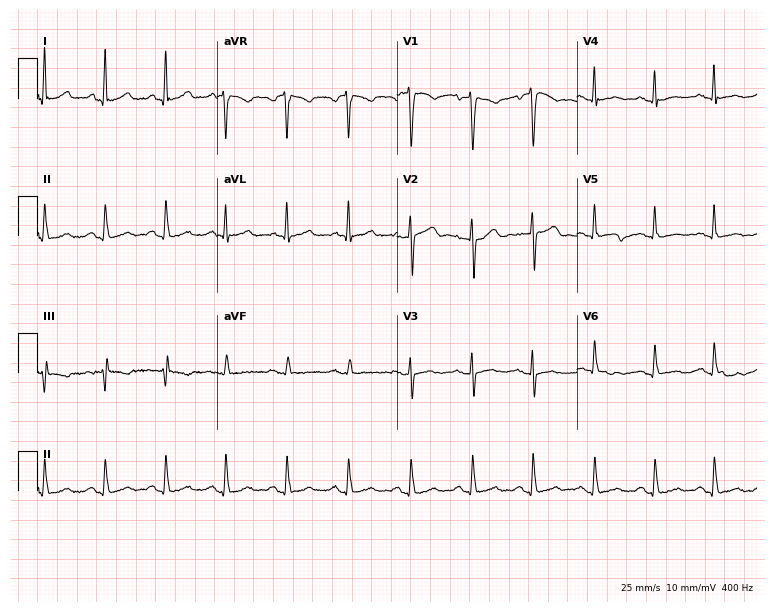
Standard 12-lead ECG recorded from a female, 50 years old. Read as a normal ECG.